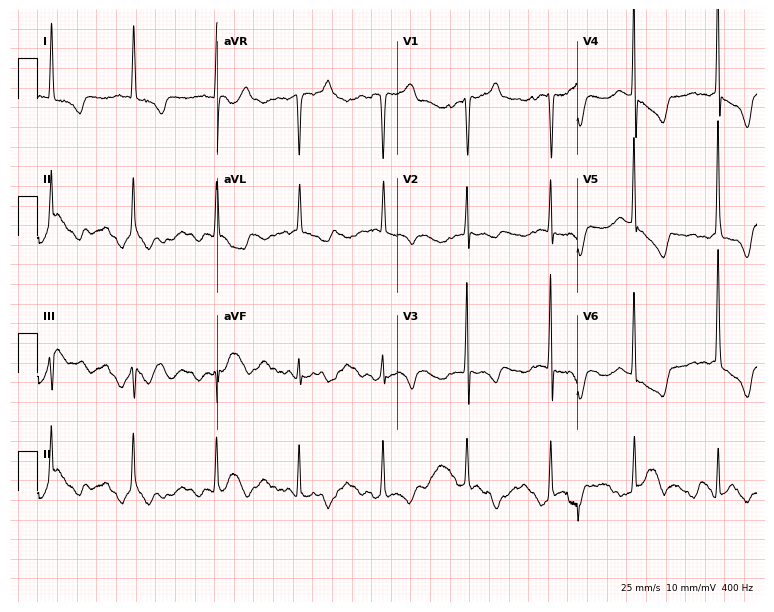
ECG (7.3-second recording at 400 Hz) — a female patient, 20 years old. Screened for six findings — first-degree AV block, right bundle branch block, left bundle branch block, sinus bradycardia, atrial fibrillation, sinus tachycardia — none is recorded. Findings outside these six are not listed.